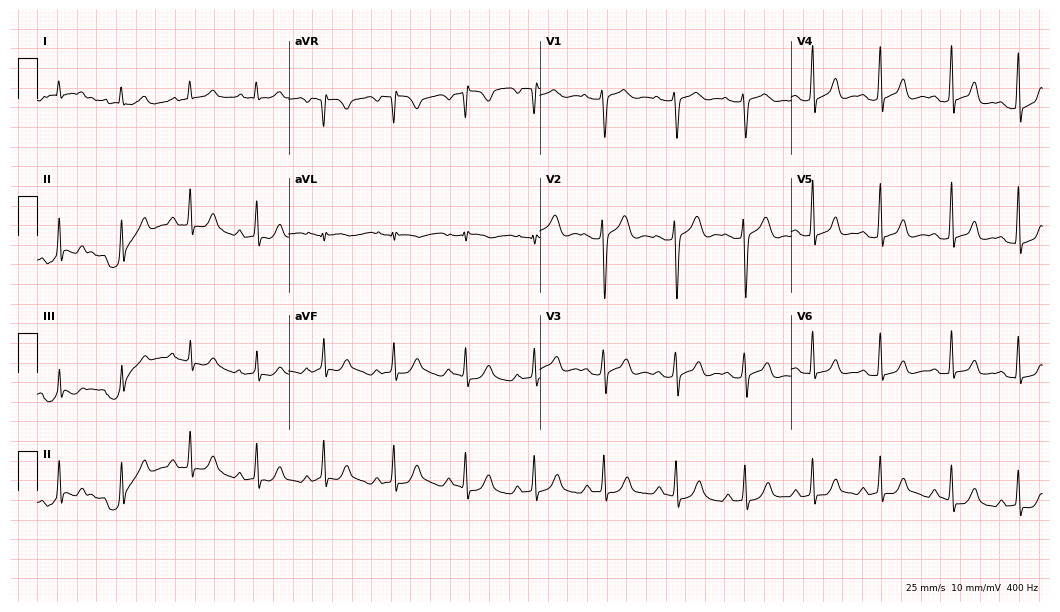
ECG (10.2-second recording at 400 Hz) — a female, 25 years old. Labelled as a normal ECG.